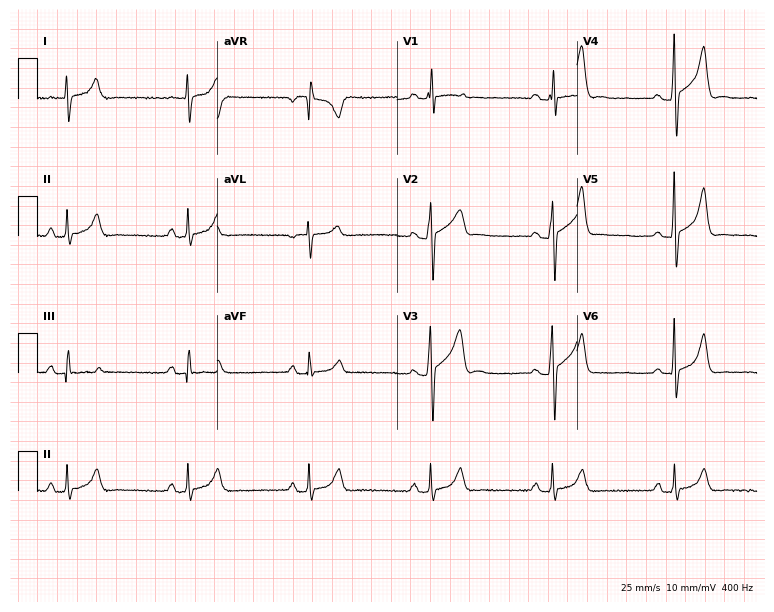
Electrocardiogram, a 20-year-old male. Interpretation includes sinus bradycardia (a sinus rate of 50 beats per minute or less).